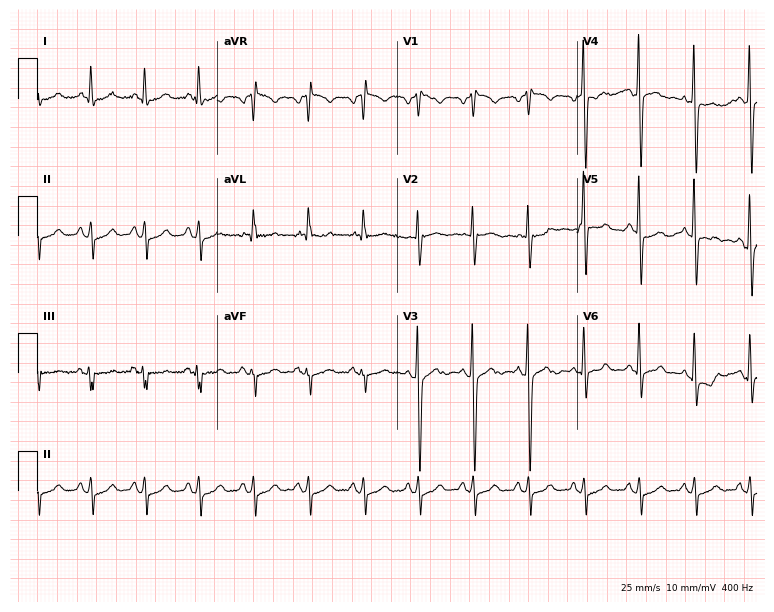
ECG — a man, 76 years old. Findings include sinus tachycardia (a sinus rate of 100 beats per minute or more).